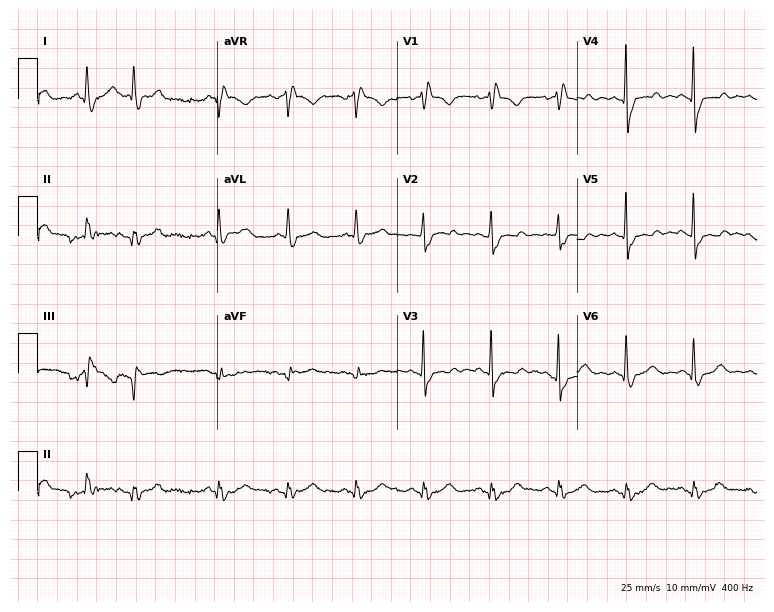
12-lead ECG from a 76-year-old woman. Findings include right bundle branch block.